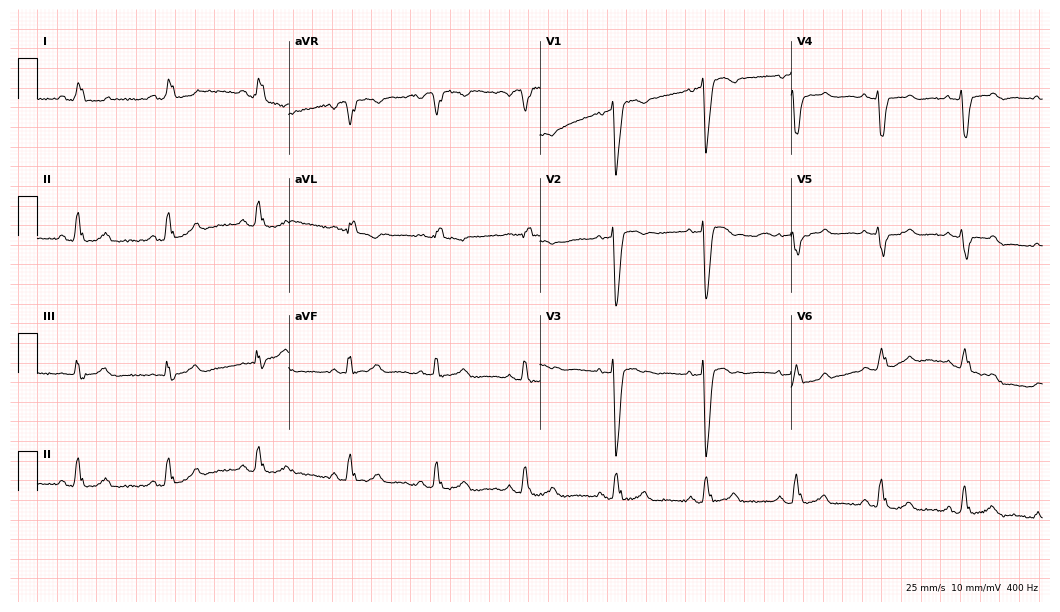
Standard 12-lead ECG recorded from a 62-year-old female (10.2-second recording at 400 Hz). None of these six findings is recorded: first-degree AV block, right bundle branch block, left bundle branch block, sinus bradycardia, atrial fibrillation, sinus tachycardia. Findings outside these six are not listed.